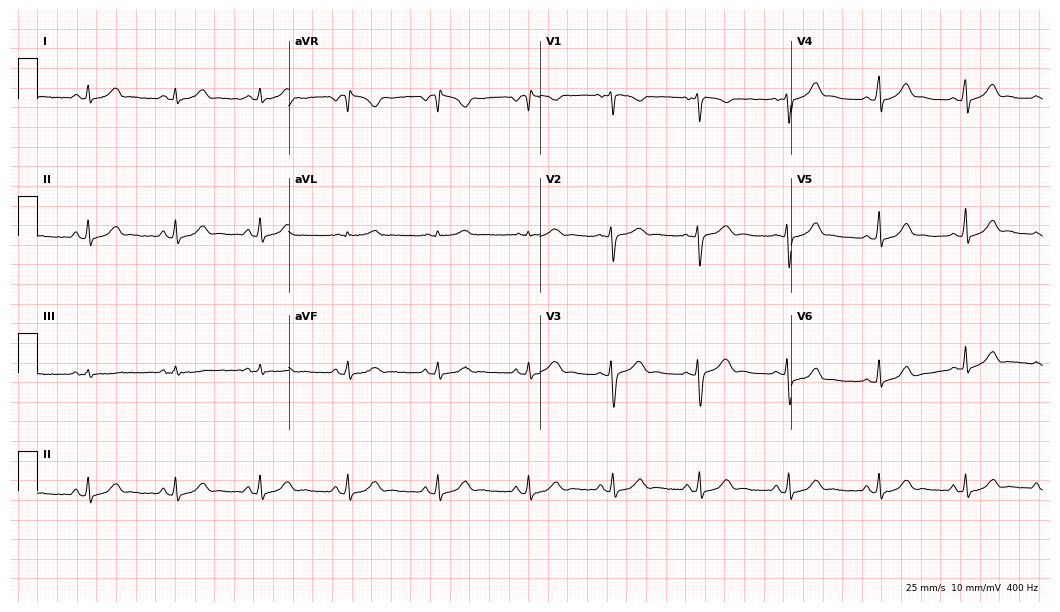
Resting 12-lead electrocardiogram. Patient: a 30-year-old woman. Read as a normal ECG.